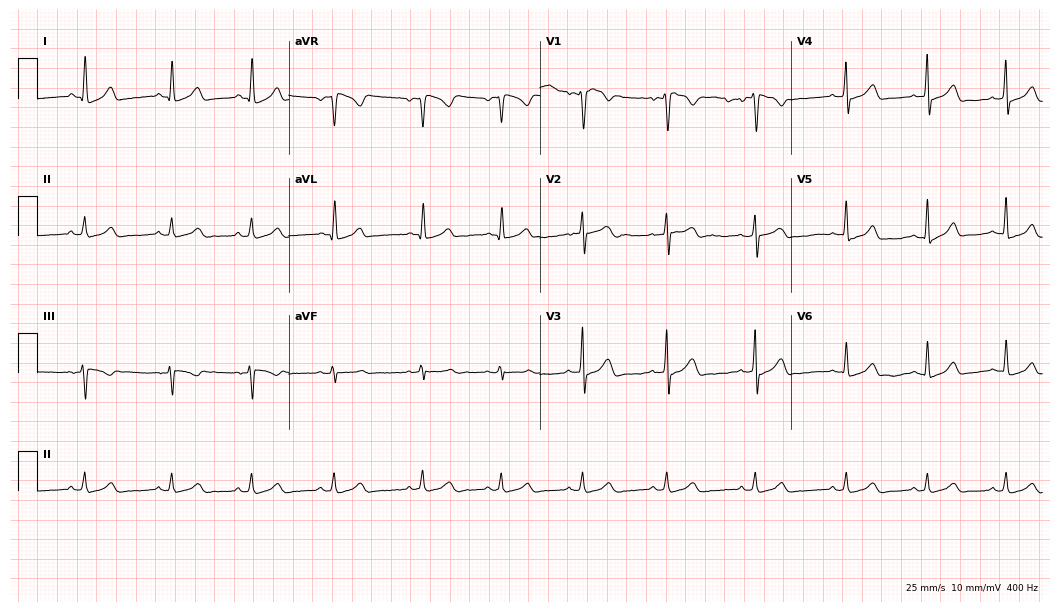
Resting 12-lead electrocardiogram. Patient: a 25-year-old female. Read as a normal ECG.